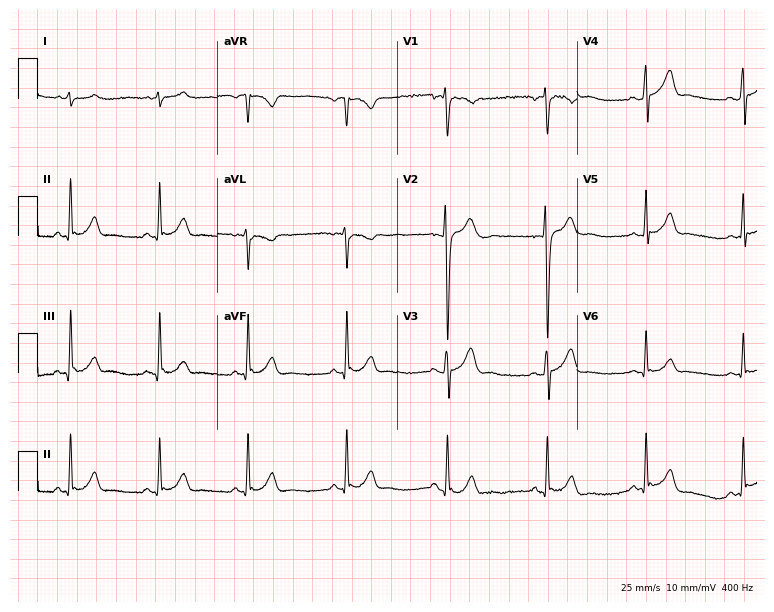
12-lead ECG from a male patient, 18 years old. Recorded interpretation: within normal limits.